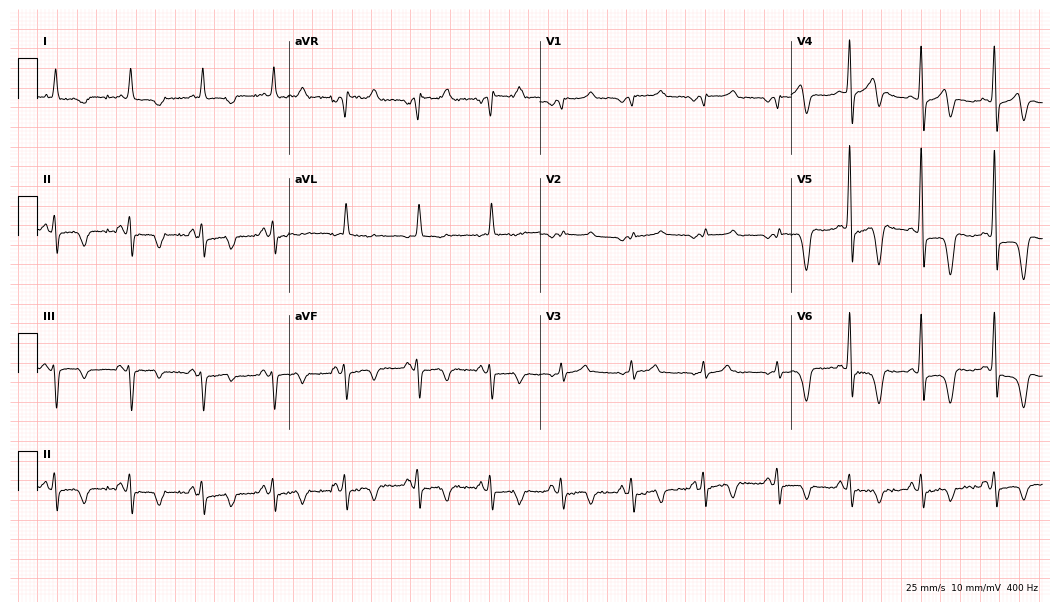
Electrocardiogram, a woman, 66 years old. Of the six screened findings (first-degree AV block, right bundle branch block, left bundle branch block, sinus bradycardia, atrial fibrillation, sinus tachycardia), none is recorded. Only these six findings were labelled.